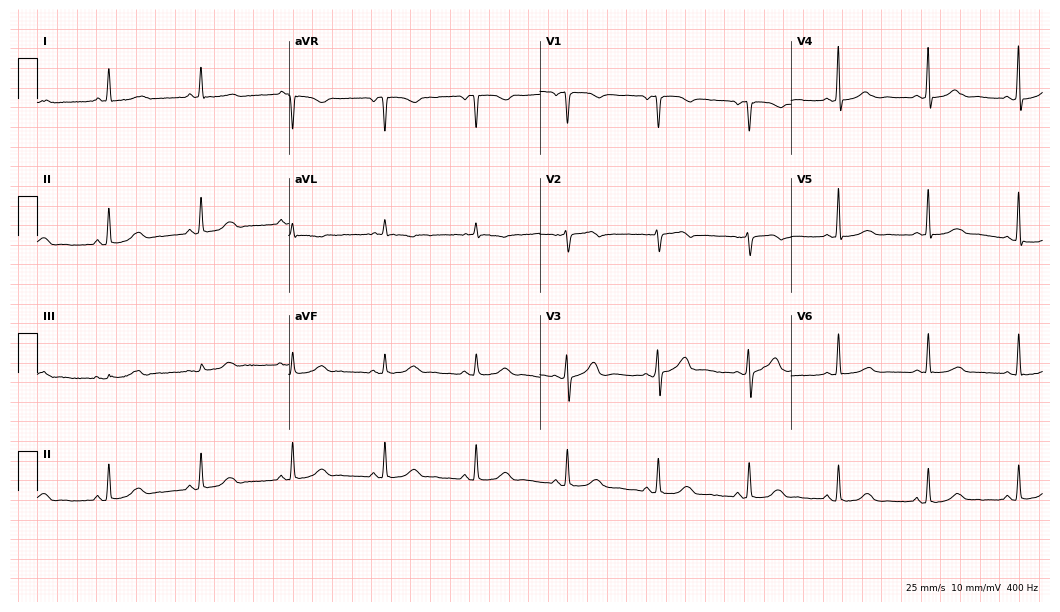
Resting 12-lead electrocardiogram. Patient: a female, 59 years old. Read as a normal ECG.